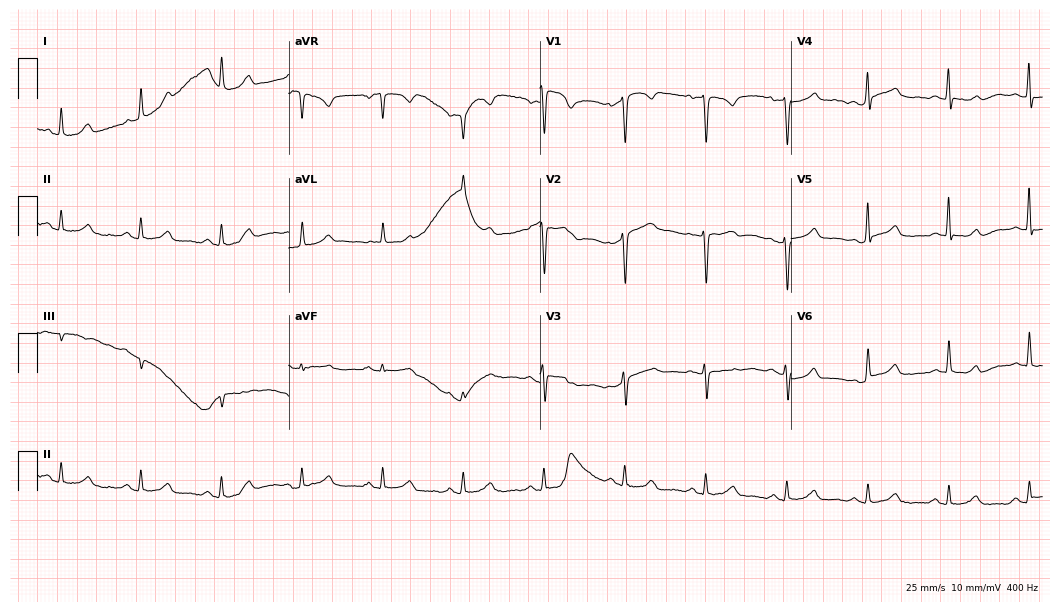
Electrocardiogram (10.2-second recording at 400 Hz), a woman, 63 years old. Overall reading on record: normal ECG.